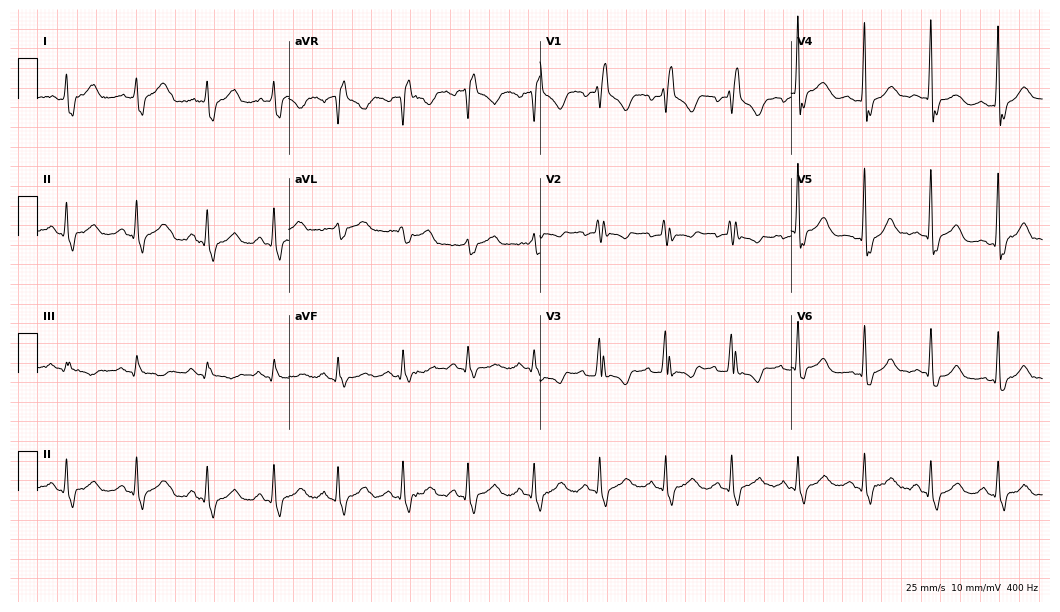
Standard 12-lead ECG recorded from a female patient, 39 years old (10.2-second recording at 400 Hz). The tracing shows right bundle branch block (RBBB).